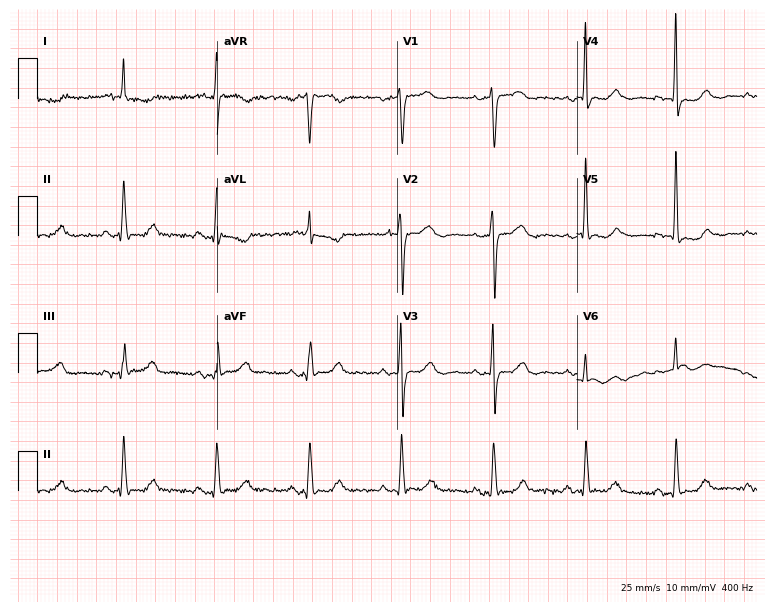
Electrocardiogram, a woman, 80 years old. Of the six screened findings (first-degree AV block, right bundle branch block, left bundle branch block, sinus bradycardia, atrial fibrillation, sinus tachycardia), none is recorded.